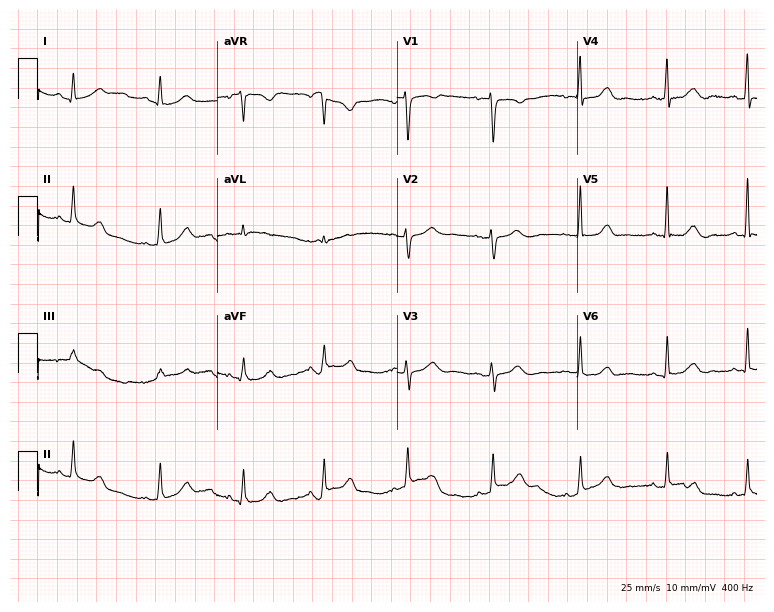
12-lead ECG from a 61-year-old female. Recorded interpretation: within normal limits.